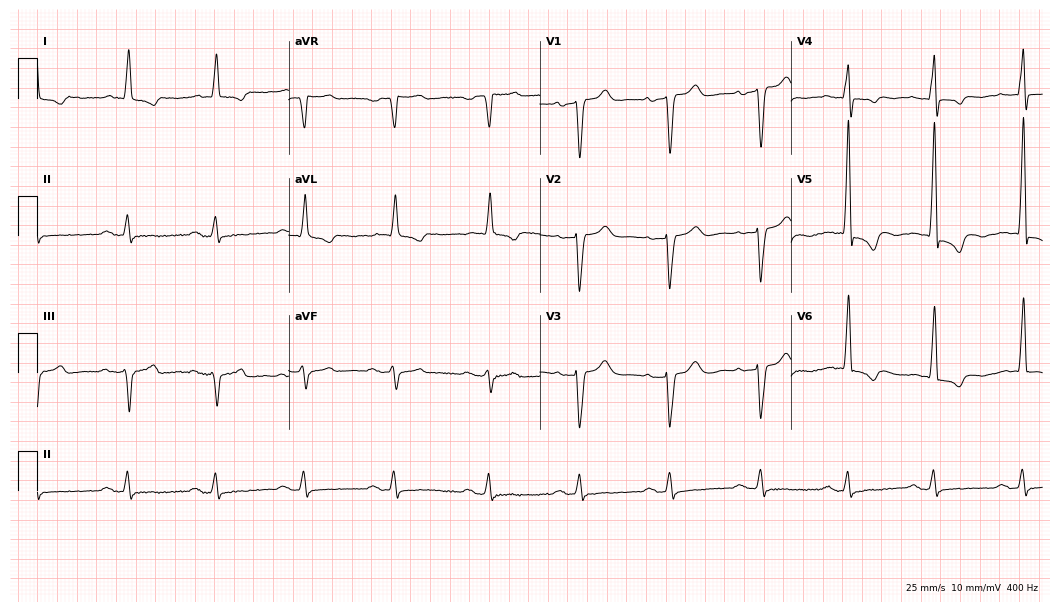
12-lead ECG from a 72-year-old male (10.2-second recording at 400 Hz). No first-degree AV block, right bundle branch block (RBBB), left bundle branch block (LBBB), sinus bradycardia, atrial fibrillation (AF) or sinus tachycardia recorded for this tracing. Findings outside these six are not listed.